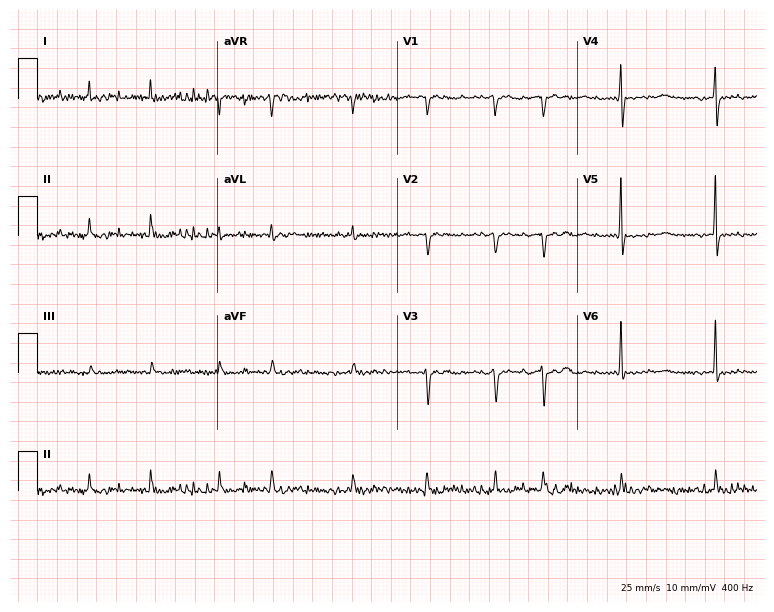
Resting 12-lead electrocardiogram (7.3-second recording at 400 Hz). Patient: a female, 85 years old. The tracing shows atrial fibrillation (AF).